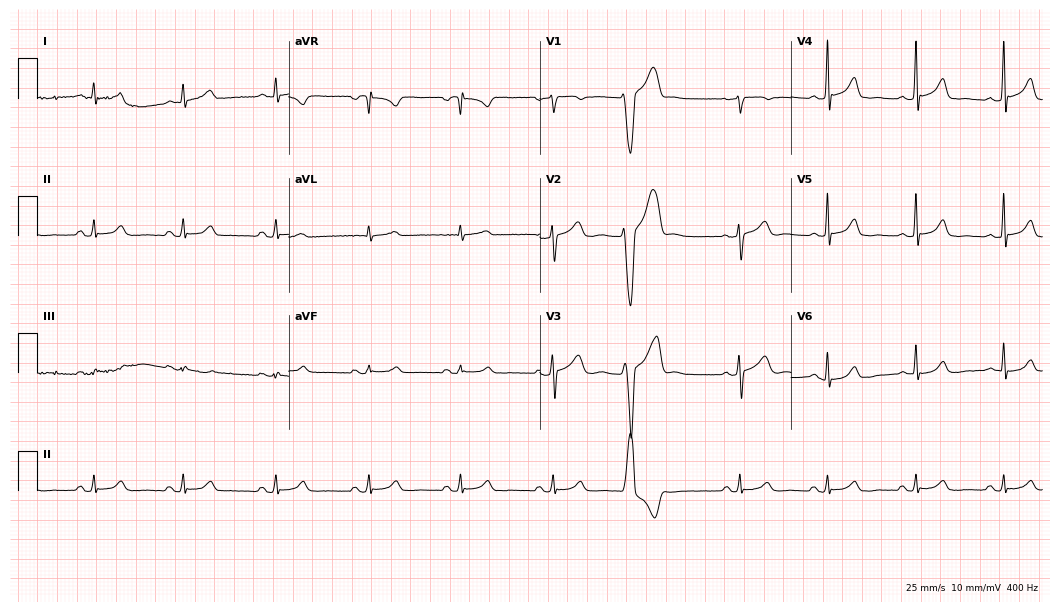
12-lead ECG from a female, 42 years old (10.2-second recording at 400 Hz). No first-degree AV block, right bundle branch block (RBBB), left bundle branch block (LBBB), sinus bradycardia, atrial fibrillation (AF) or sinus tachycardia recorded for this tracing.